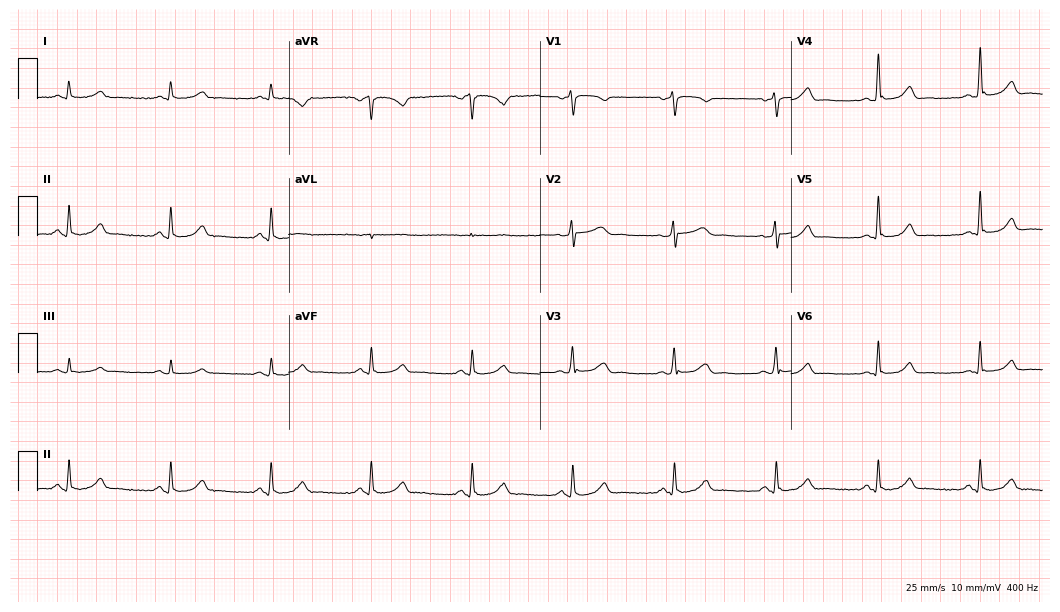
Electrocardiogram (10.2-second recording at 400 Hz), a male, 73 years old. Overall reading on record: normal ECG.